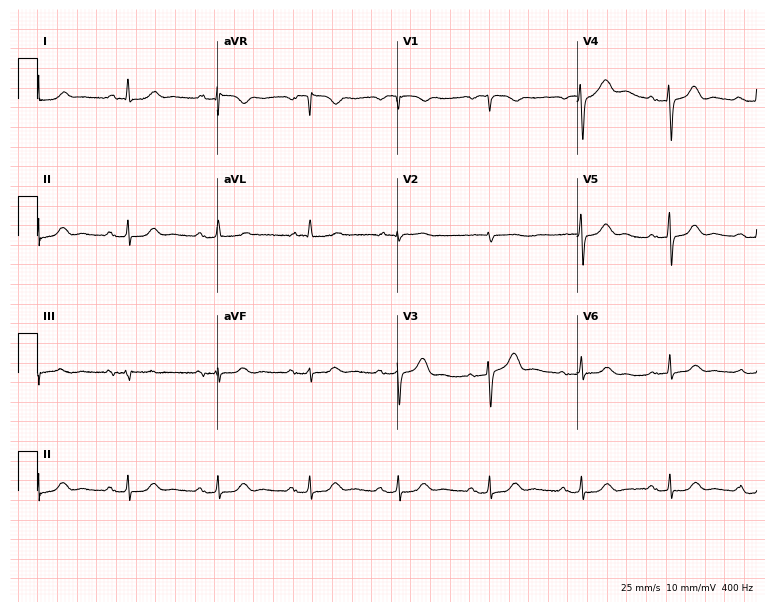
Resting 12-lead electrocardiogram (7.3-second recording at 400 Hz). Patient: a female, 81 years old. Read as a normal ECG.